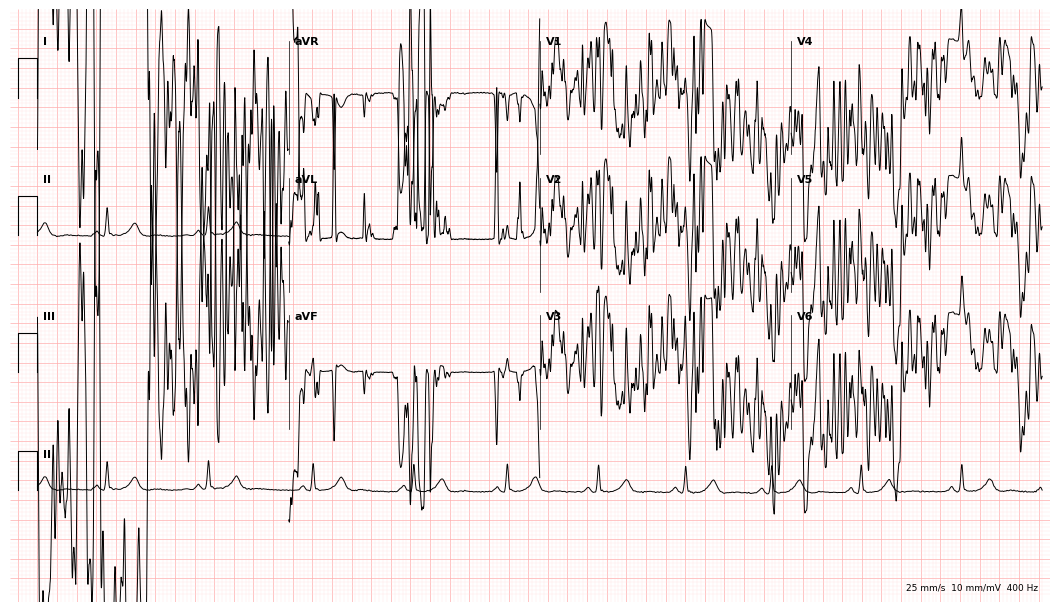
Standard 12-lead ECG recorded from a 60-year-old female patient. None of these six findings is recorded: first-degree AV block, right bundle branch block (RBBB), left bundle branch block (LBBB), sinus bradycardia, atrial fibrillation (AF), sinus tachycardia. Only these six findings were labelled.